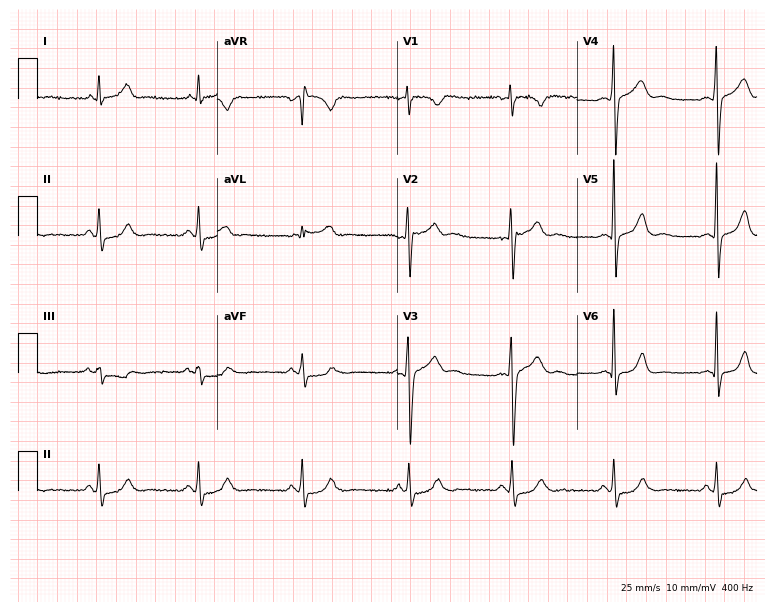
Electrocardiogram, a male, 29 years old. Of the six screened findings (first-degree AV block, right bundle branch block, left bundle branch block, sinus bradycardia, atrial fibrillation, sinus tachycardia), none is recorded.